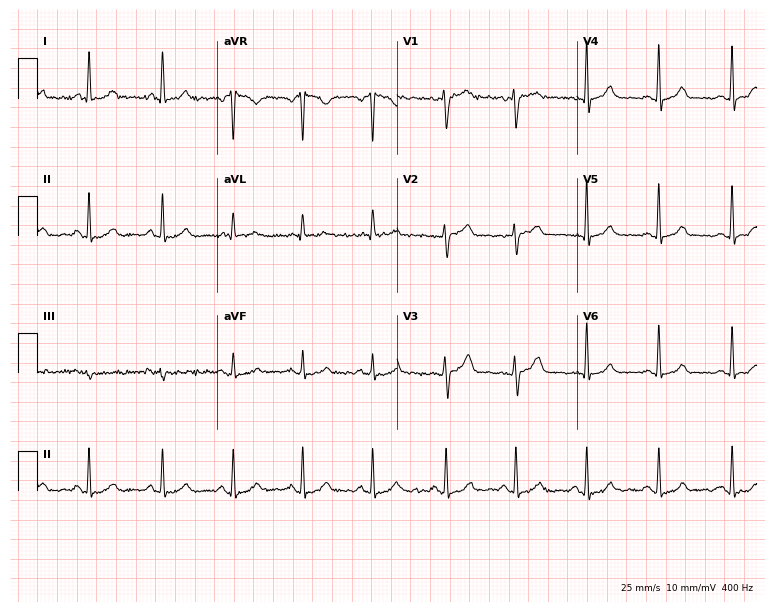
Electrocardiogram, a female, 49 years old. Overall reading on record: normal ECG.